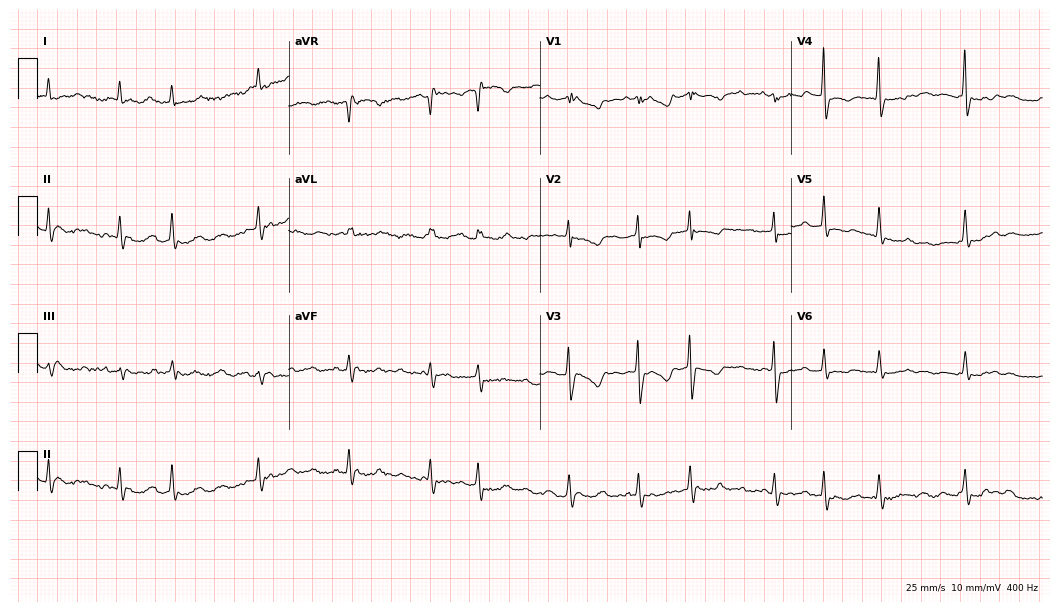
12-lead ECG from a 73-year-old female patient (10.2-second recording at 400 Hz). Shows atrial fibrillation.